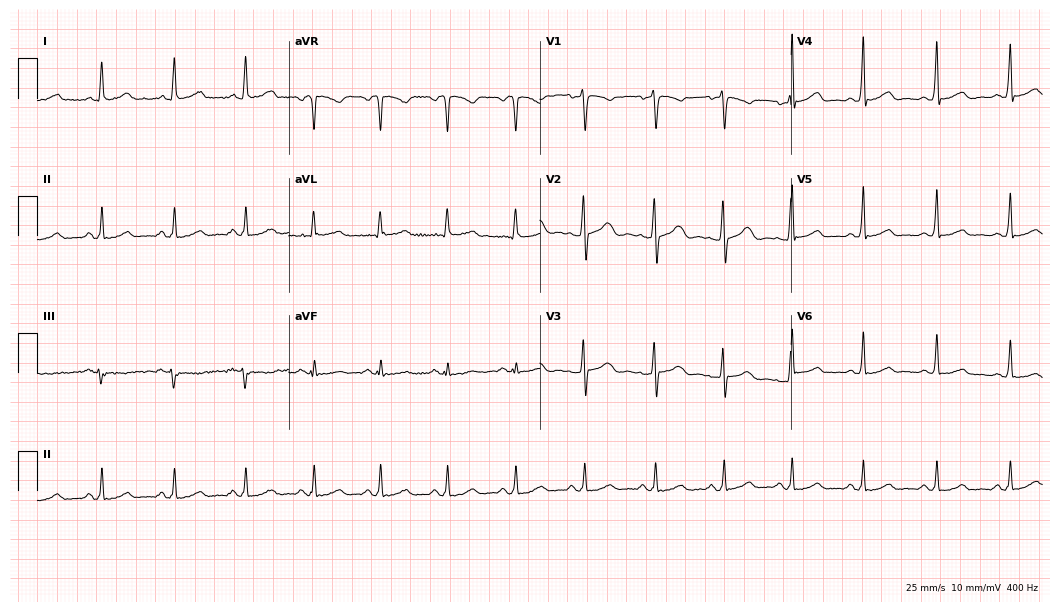
Standard 12-lead ECG recorded from a female, 33 years old (10.2-second recording at 400 Hz). Read as a normal ECG.